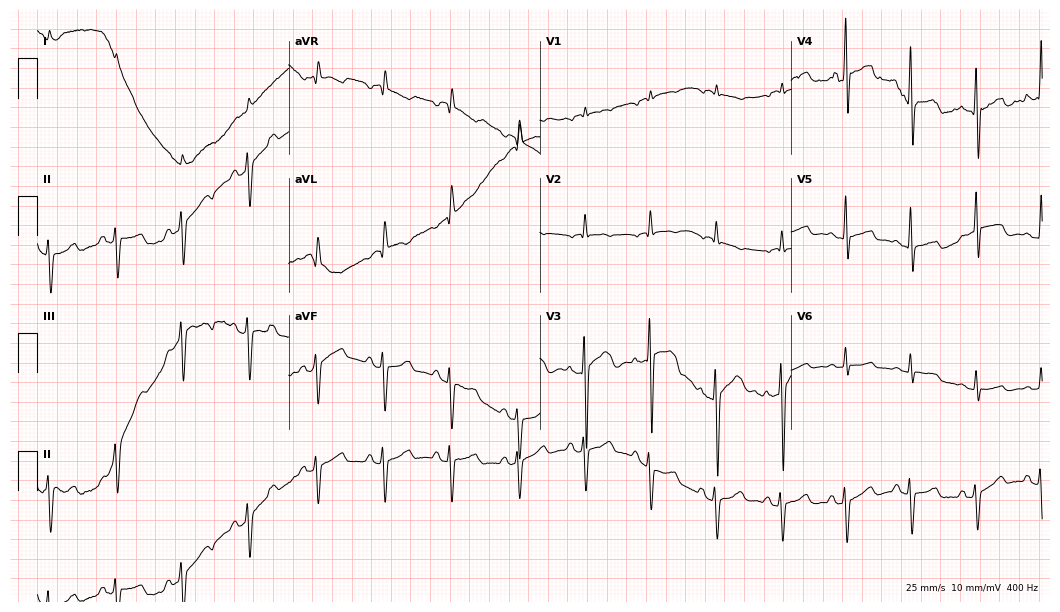
Resting 12-lead electrocardiogram (10.2-second recording at 400 Hz). Patient: an 85-year-old man. None of these six findings is recorded: first-degree AV block, right bundle branch block, left bundle branch block, sinus bradycardia, atrial fibrillation, sinus tachycardia. Findings outside these six are not listed.